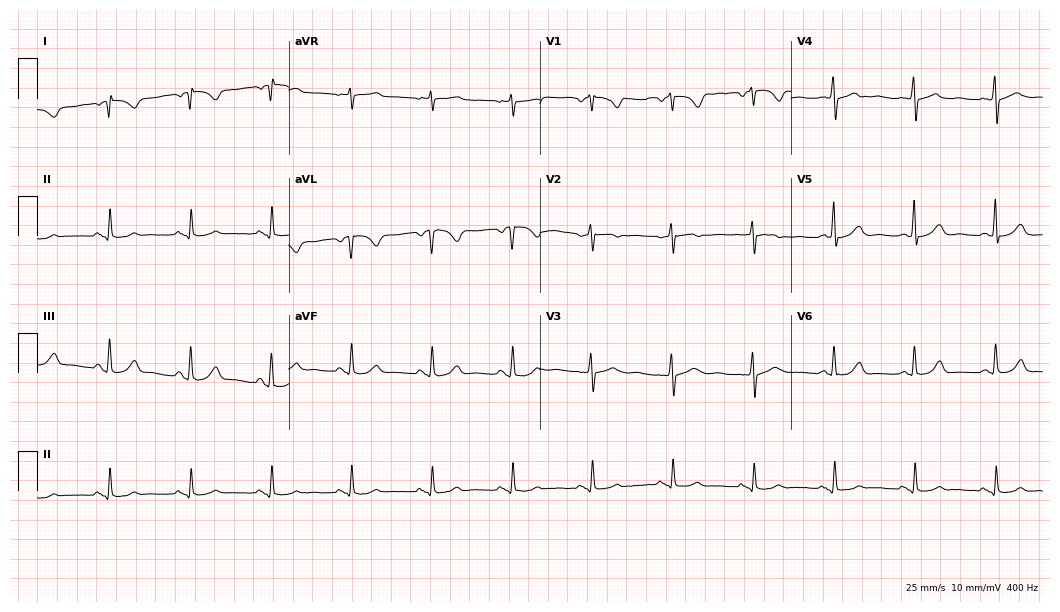
Standard 12-lead ECG recorded from a 56-year-old female patient (10.2-second recording at 400 Hz). None of these six findings is recorded: first-degree AV block, right bundle branch block, left bundle branch block, sinus bradycardia, atrial fibrillation, sinus tachycardia.